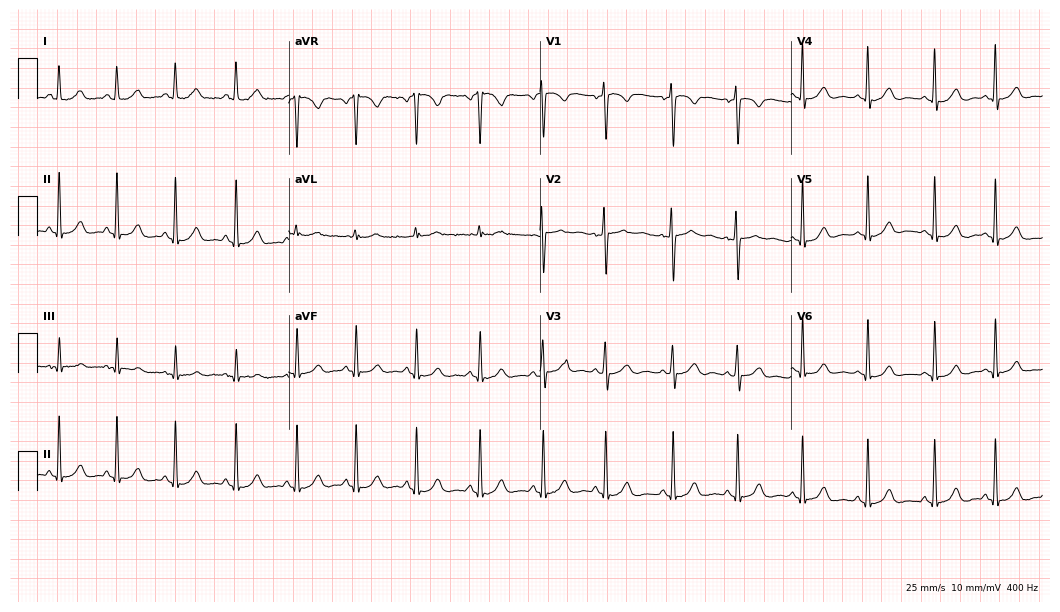
12-lead ECG (10.2-second recording at 400 Hz) from a female patient, 17 years old. Labelled as a normal ECG.